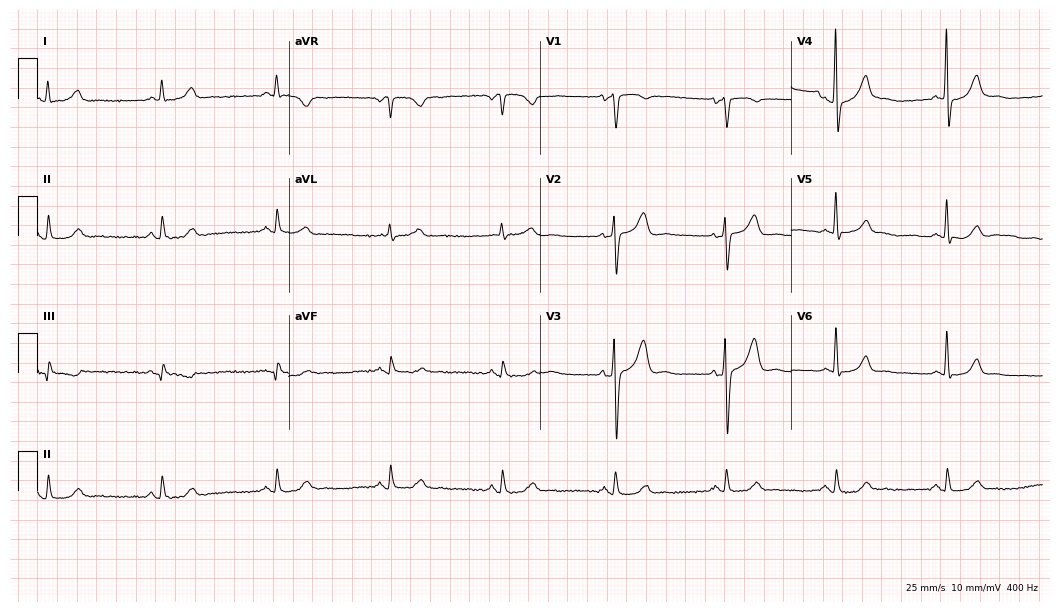
12-lead ECG from a man, 62 years old. No first-degree AV block, right bundle branch block, left bundle branch block, sinus bradycardia, atrial fibrillation or sinus tachycardia recorded for this tracing.